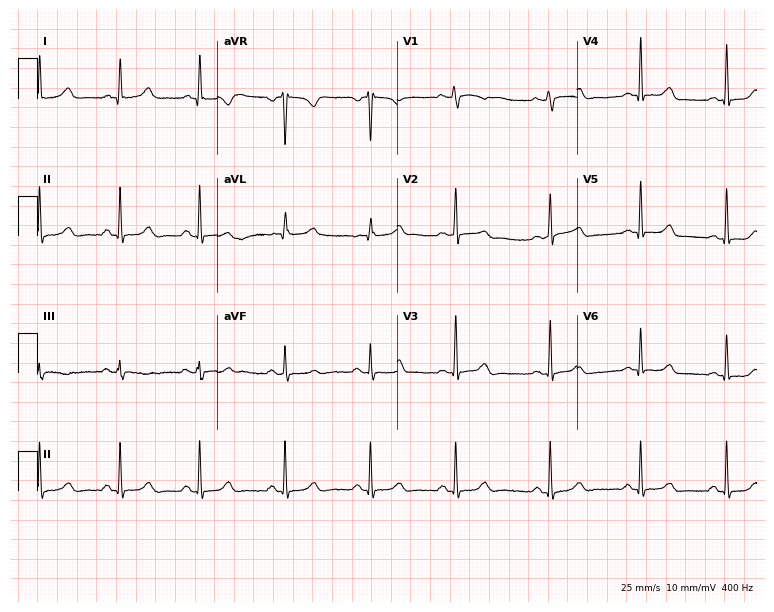
12-lead ECG from a 28-year-old woman. Labelled as a normal ECG.